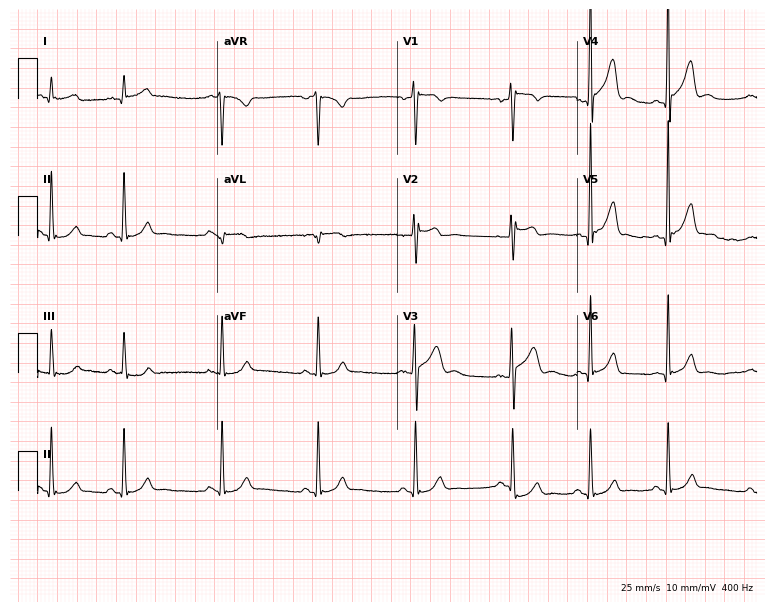
Electrocardiogram (7.3-second recording at 400 Hz), a male, 23 years old. Of the six screened findings (first-degree AV block, right bundle branch block (RBBB), left bundle branch block (LBBB), sinus bradycardia, atrial fibrillation (AF), sinus tachycardia), none is recorded. Only these six findings were labelled.